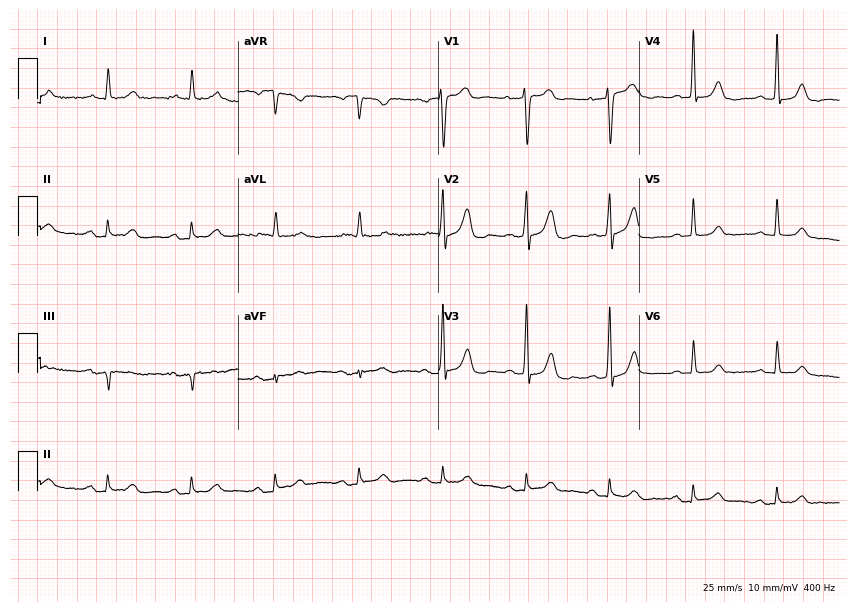
Electrocardiogram (8.2-second recording at 400 Hz), a man, 71 years old. Overall reading on record: normal ECG.